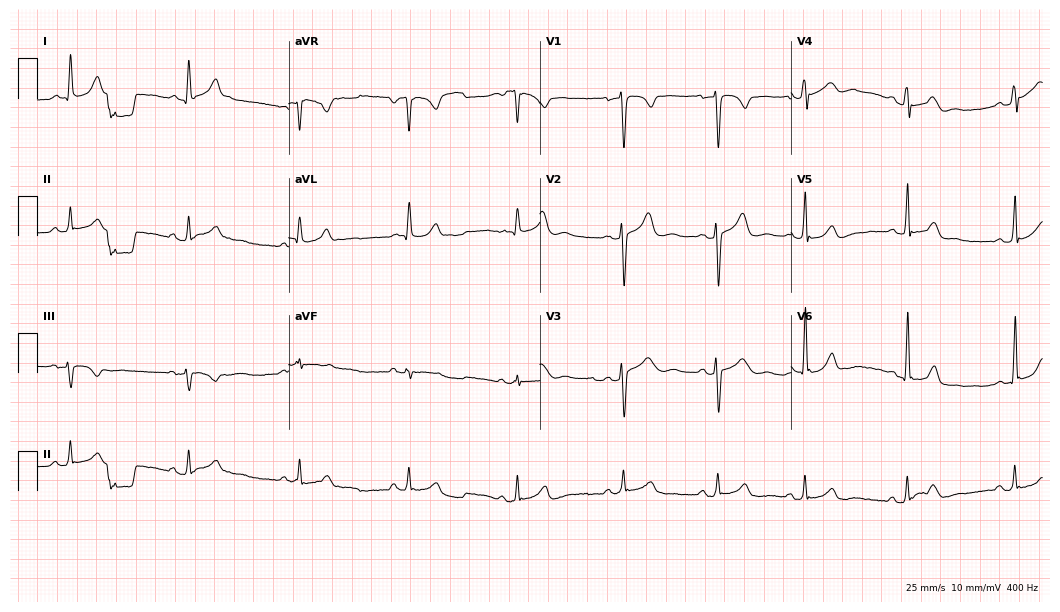
ECG (10.2-second recording at 400 Hz) — a male, 32 years old. Screened for six findings — first-degree AV block, right bundle branch block, left bundle branch block, sinus bradycardia, atrial fibrillation, sinus tachycardia — none is recorded. Findings outside these six are not listed.